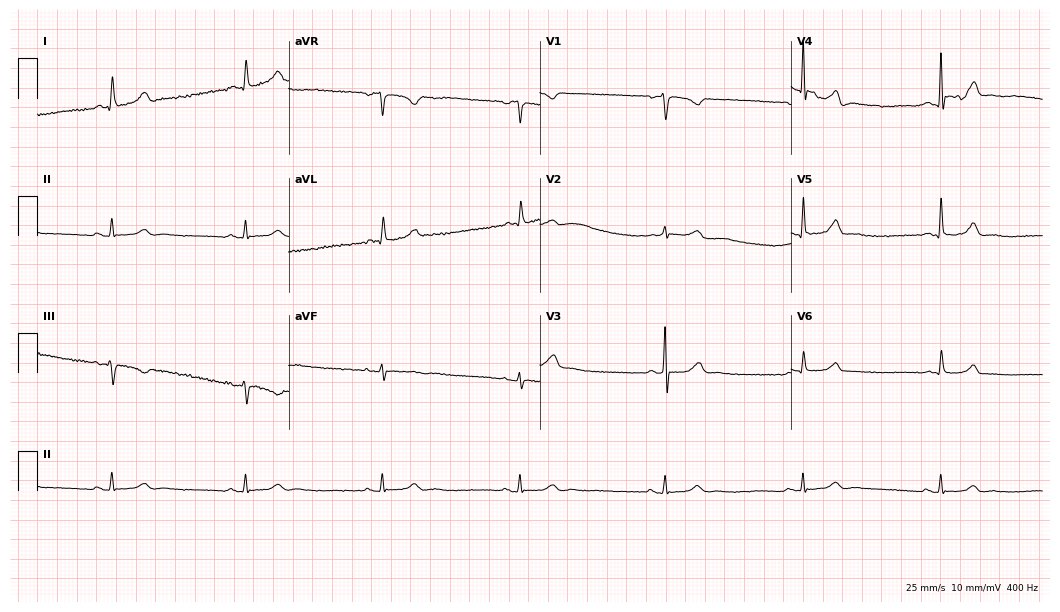
12-lead ECG from a 38-year-old female patient. No first-degree AV block, right bundle branch block, left bundle branch block, sinus bradycardia, atrial fibrillation or sinus tachycardia recorded for this tracing.